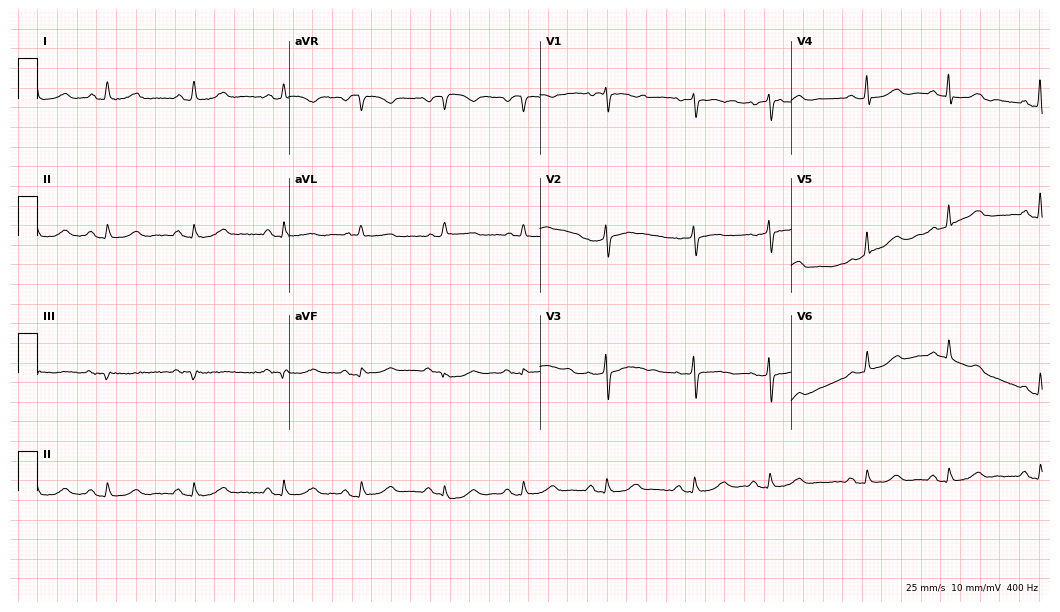
12-lead ECG from a woman, 80 years old. Recorded interpretation: within normal limits.